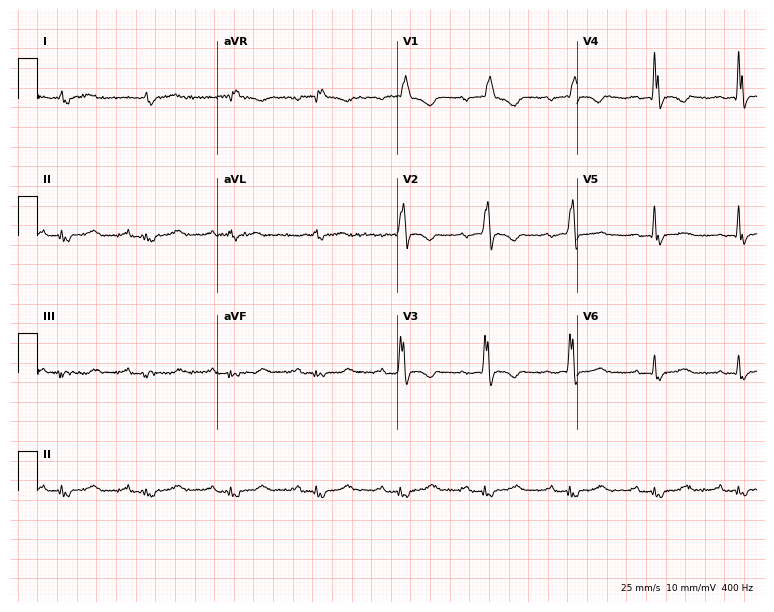
ECG (7.3-second recording at 400 Hz) — a 59-year-old man. Findings include first-degree AV block, right bundle branch block (RBBB).